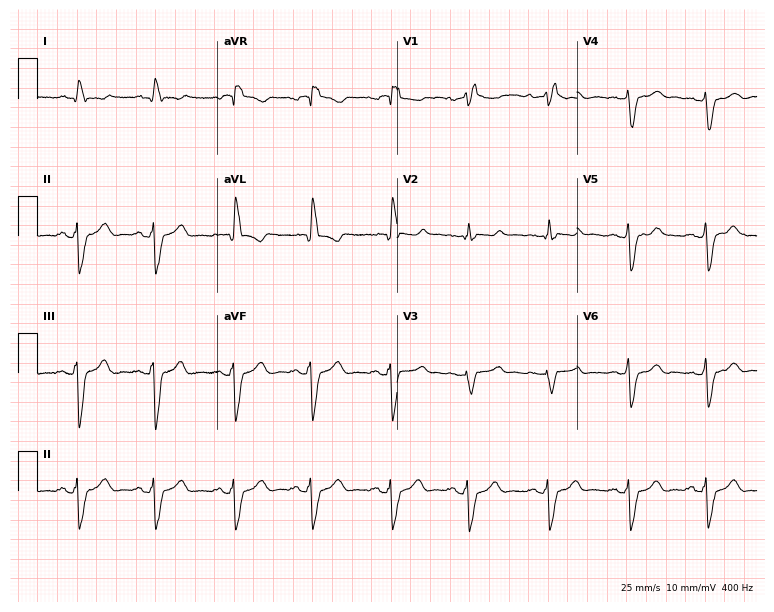
Resting 12-lead electrocardiogram (7.3-second recording at 400 Hz). Patient: a female, 67 years old. The tracing shows right bundle branch block.